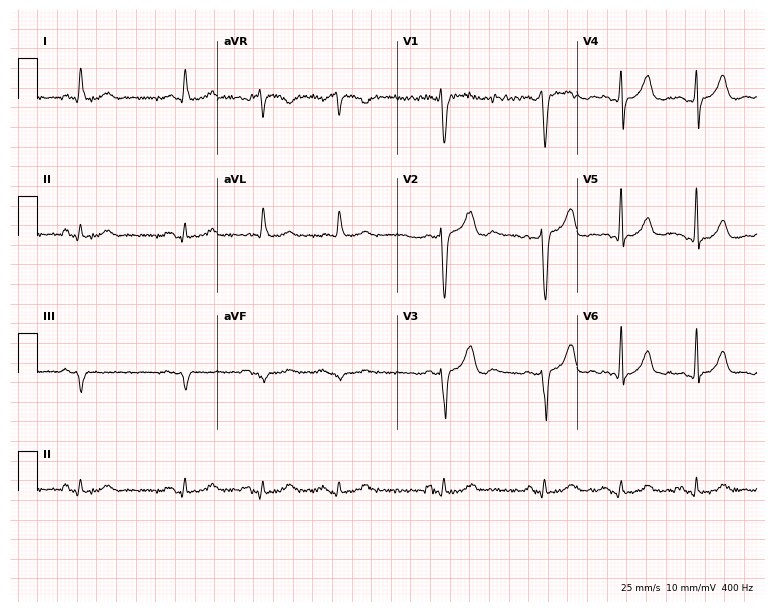
12-lead ECG from a man, 75 years old. Labelled as a normal ECG.